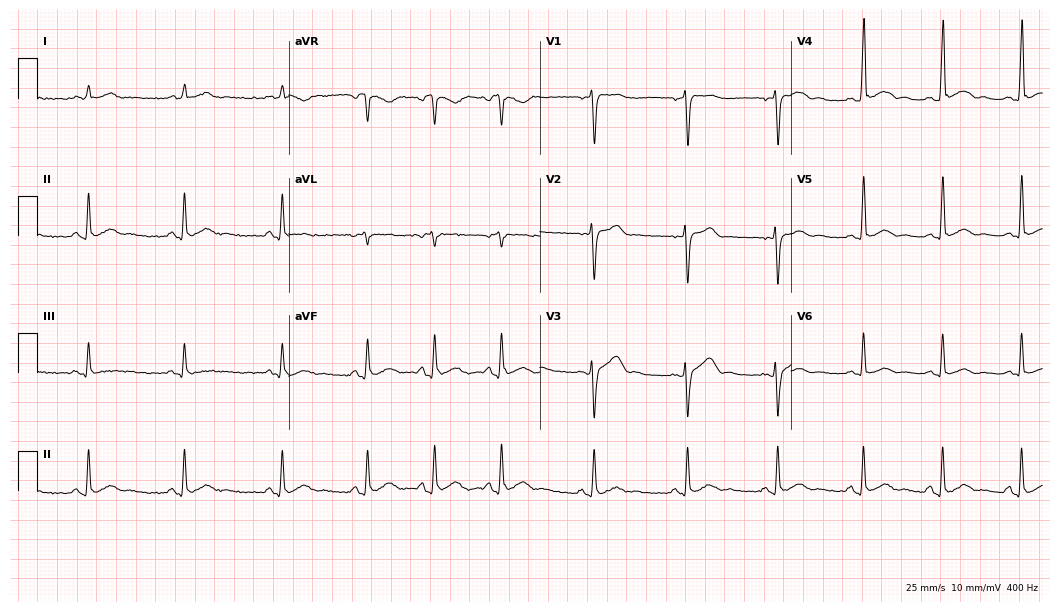
Resting 12-lead electrocardiogram (10.2-second recording at 400 Hz). Patient: a male, 20 years old. Read as a normal ECG.